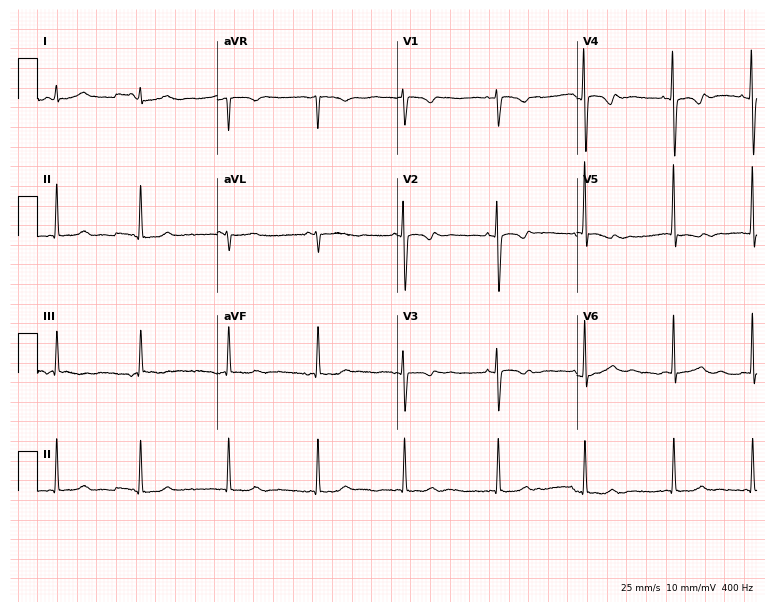
Electrocardiogram (7.3-second recording at 400 Hz), a 38-year-old female patient. Of the six screened findings (first-degree AV block, right bundle branch block, left bundle branch block, sinus bradycardia, atrial fibrillation, sinus tachycardia), none is recorded. Other findings, if any, are not listed.